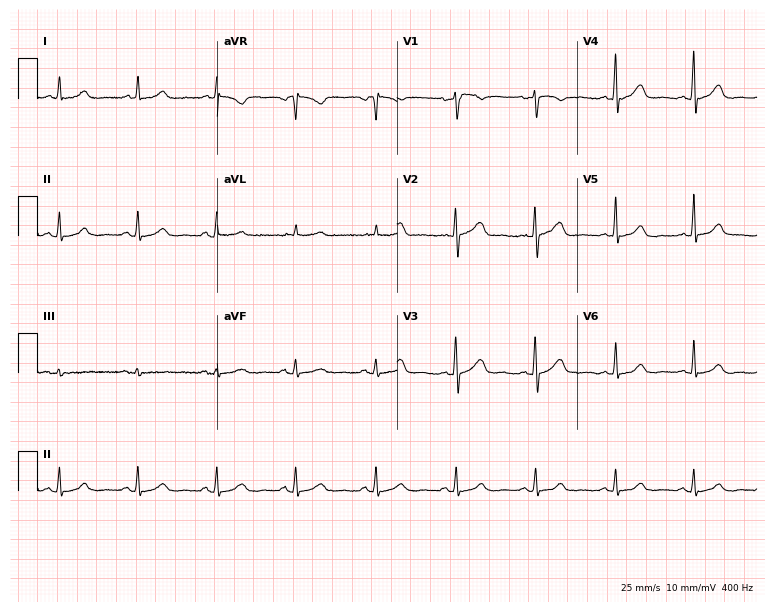
12-lead ECG from a female patient, 54 years old. No first-degree AV block, right bundle branch block (RBBB), left bundle branch block (LBBB), sinus bradycardia, atrial fibrillation (AF) or sinus tachycardia recorded for this tracing. Only these six findings were labelled.